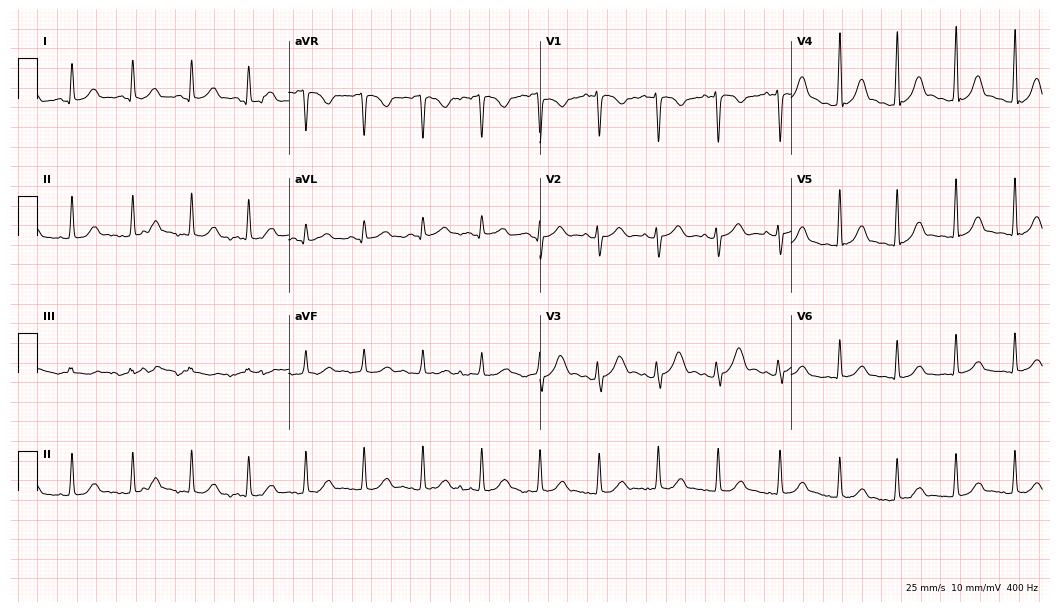
12-lead ECG (10.2-second recording at 400 Hz) from a female patient, 27 years old. Screened for six findings — first-degree AV block, right bundle branch block, left bundle branch block, sinus bradycardia, atrial fibrillation, sinus tachycardia — none is recorded.